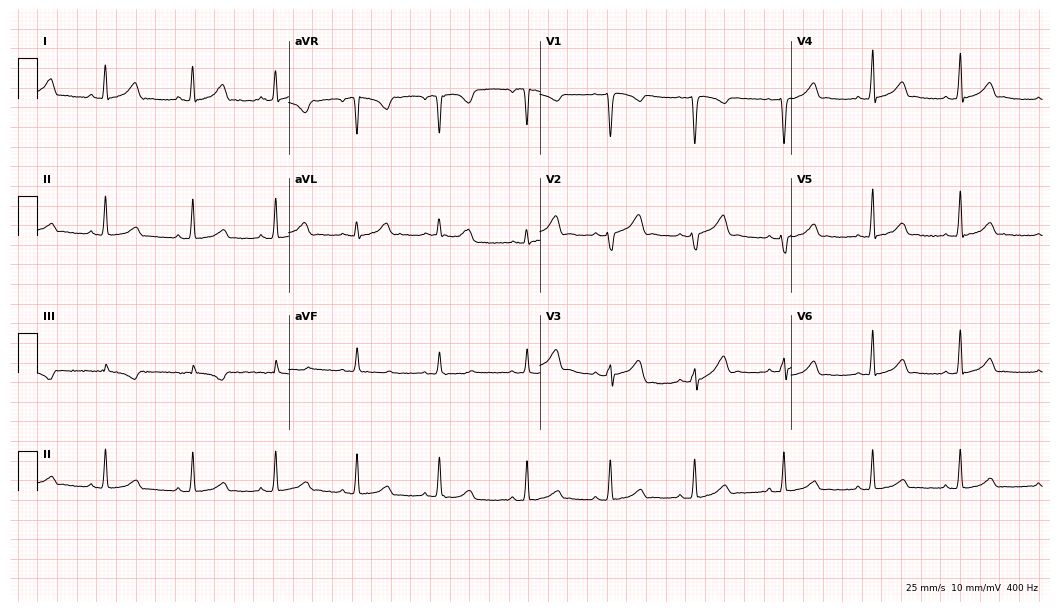
12-lead ECG (10.2-second recording at 400 Hz) from a female patient, 25 years old. Labelled as a normal ECG.